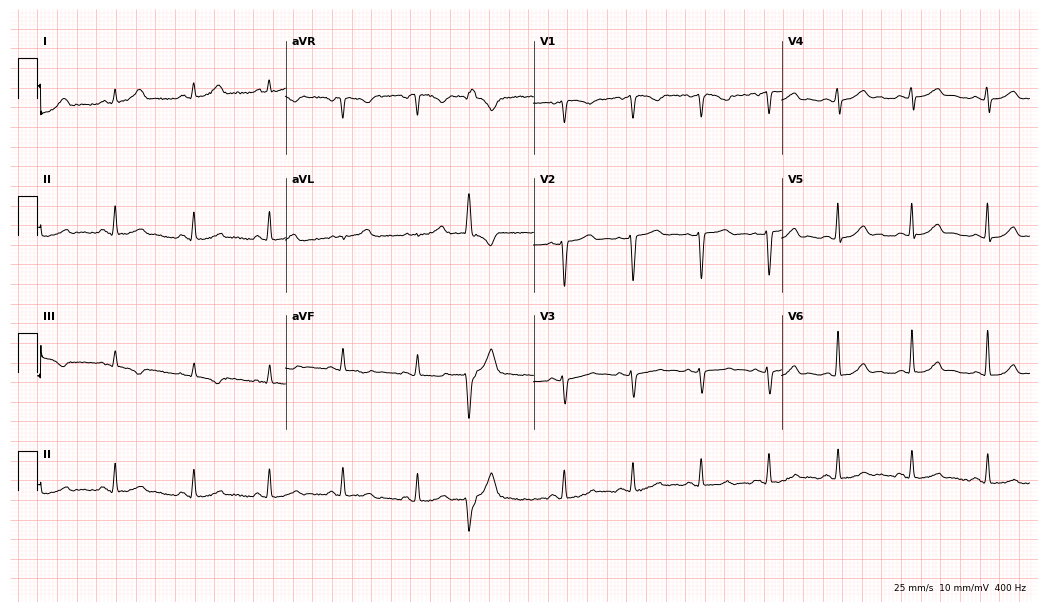
Standard 12-lead ECG recorded from a female, 37 years old. None of these six findings is recorded: first-degree AV block, right bundle branch block (RBBB), left bundle branch block (LBBB), sinus bradycardia, atrial fibrillation (AF), sinus tachycardia. Other findings, if any, are not listed.